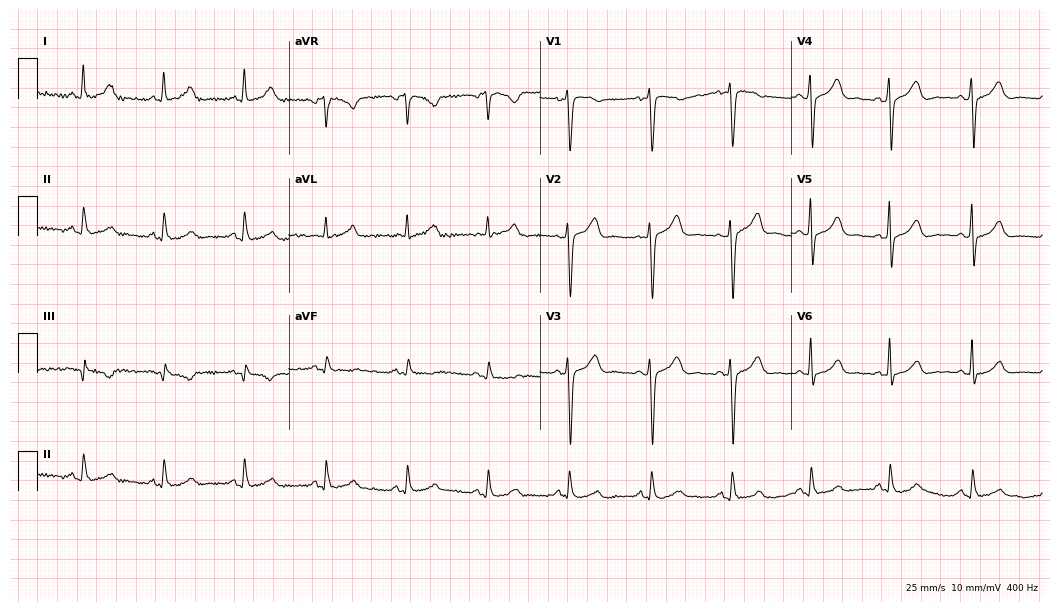
ECG (10.2-second recording at 400 Hz) — a female, 42 years old. Labelled as a normal ECG.